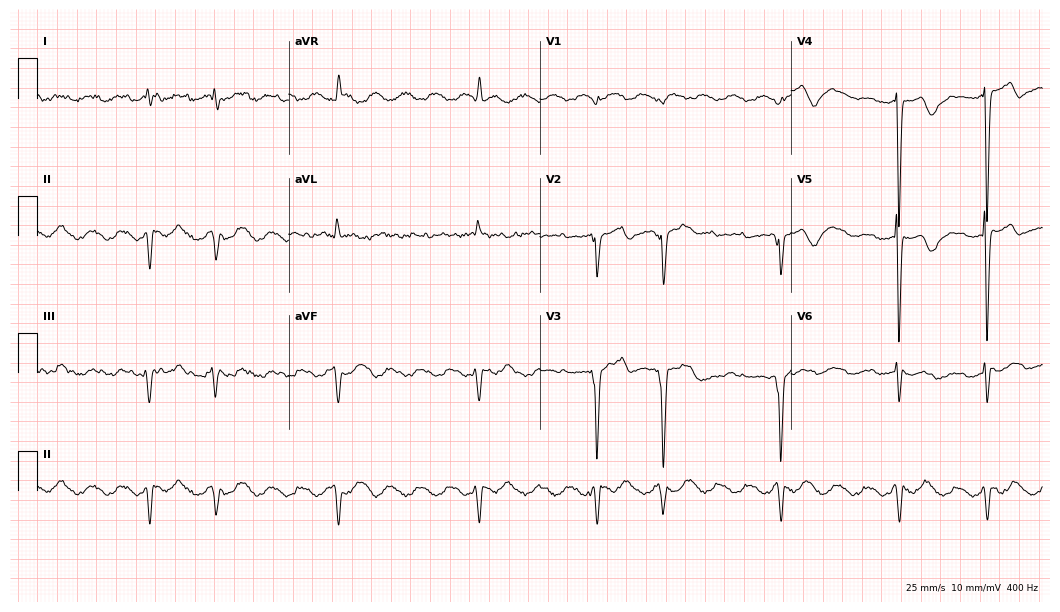
Electrocardiogram (10.2-second recording at 400 Hz), a 52-year-old man. Of the six screened findings (first-degree AV block, right bundle branch block, left bundle branch block, sinus bradycardia, atrial fibrillation, sinus tachycardia), none is recorded.